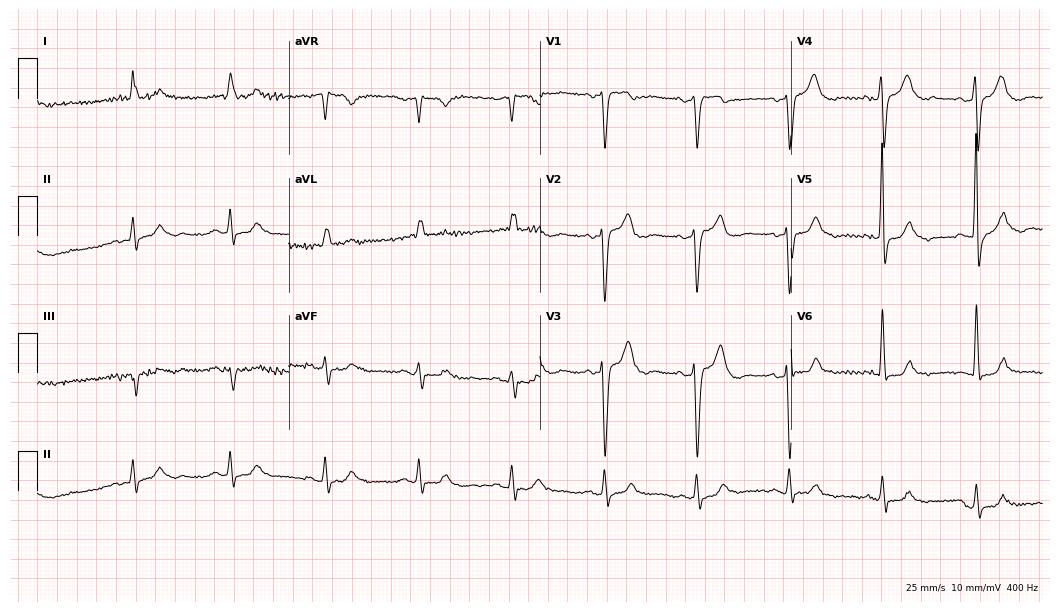
Standard 12-lead ECG recorded from a male, 81 years old (10.2-second recording at 400 Hz). None of these six findings is recorded: first-degree AV block, right bundle branch block (RBBB), left bundle branch block (LBBB), sinus bradycardia, atrial fibrillation (AF), sinus tachycardia. Findings outside these six are not listed.